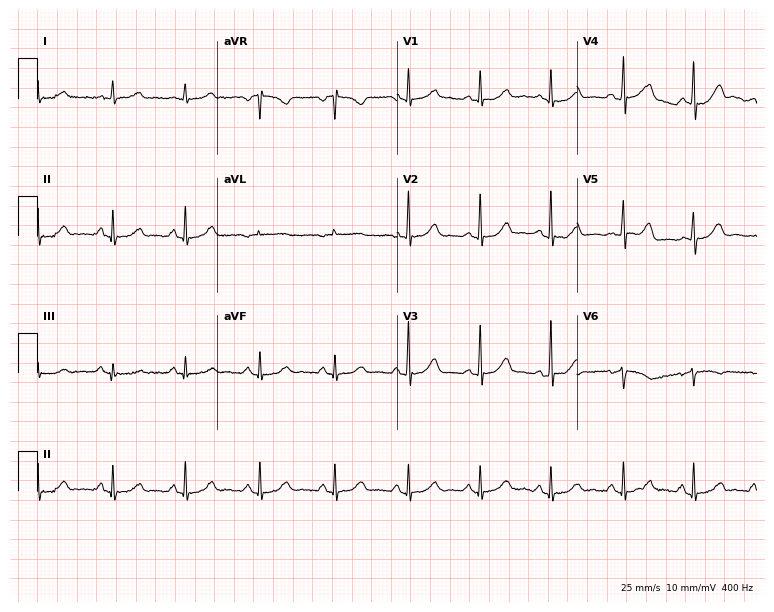
Standard 12-lead ECG recorded from a 60-year-old female (7.3-second recording at 400 Hz). Read as a normal ECG.